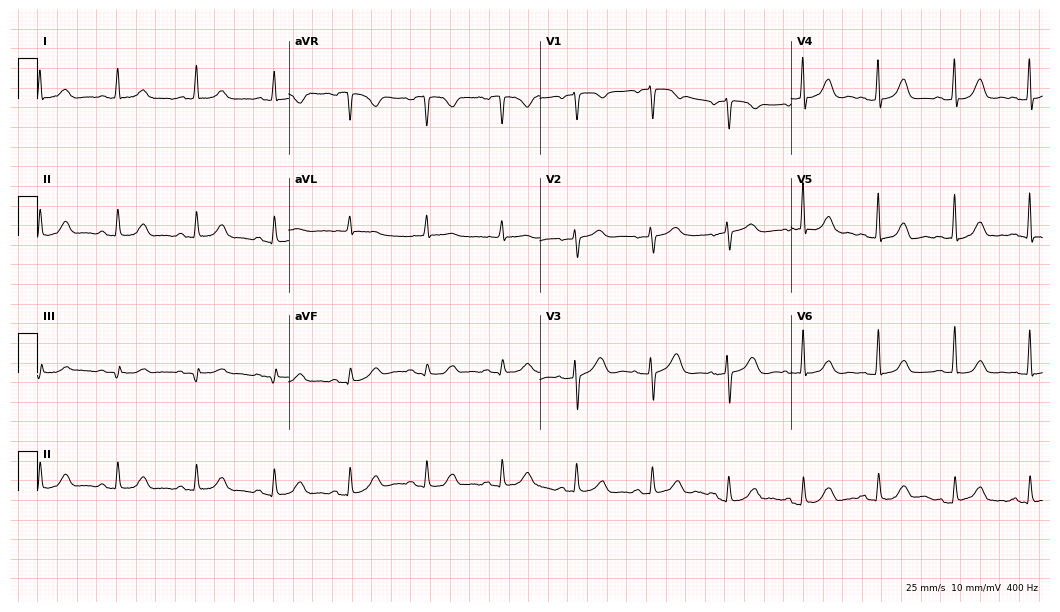
ECG — a woman, 78 years old. Labelled as a normal ECG.